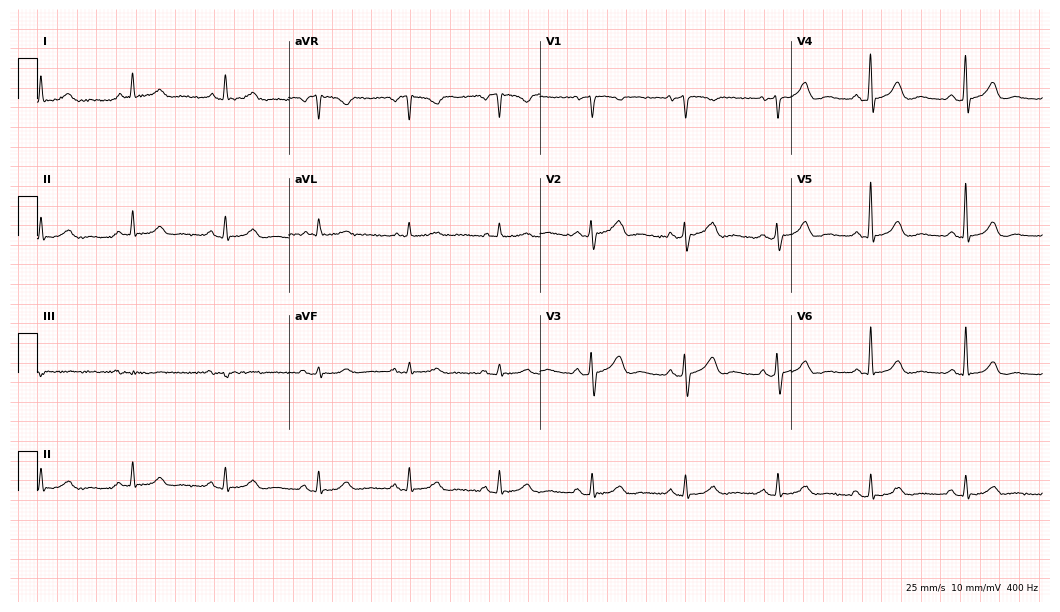
Standard 12-lead ECG recorded from an 85-year-old male patient. Read as a normal ECG.